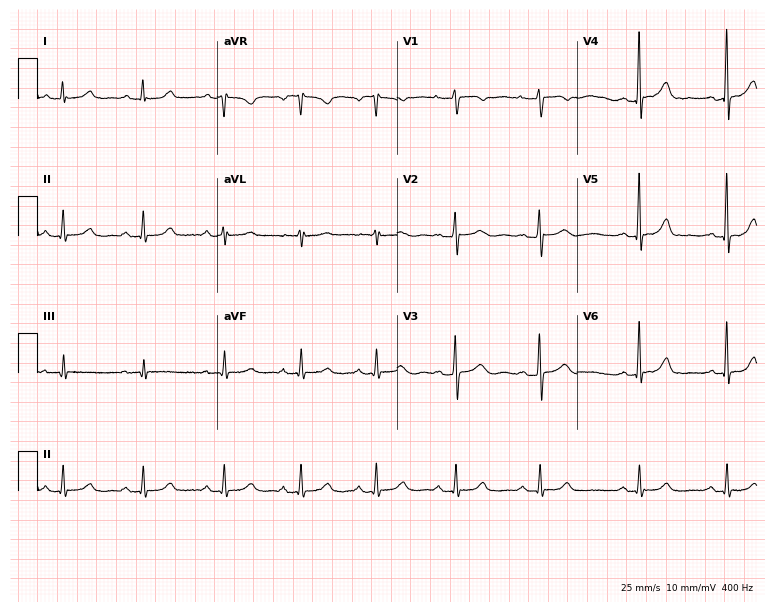
12-lead ECG from a female patient, 48 years old. Labelled as a normal ECG.